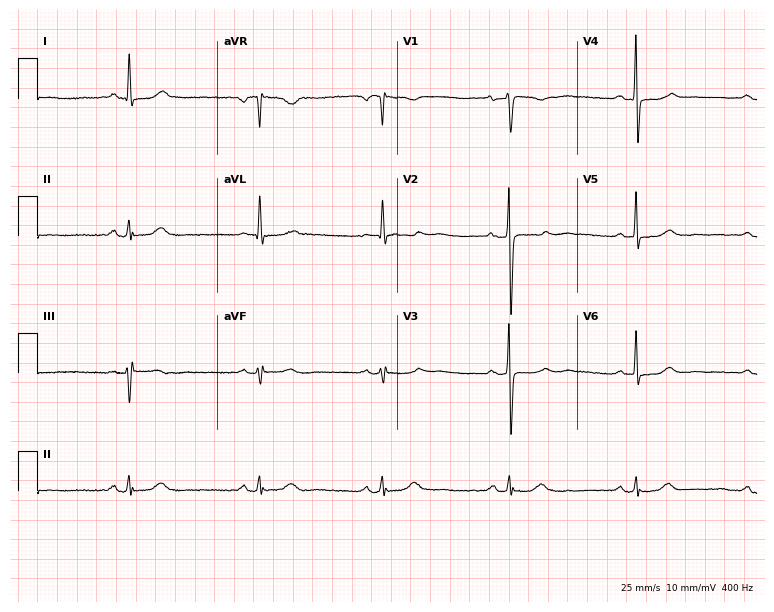
Standard 12-lead ECG recorded from a female, 62 years old (7.3-second recording at 400 Hz). The tracing shows sinus bradycardia (a sinus rate of 50 beats per minute or less).